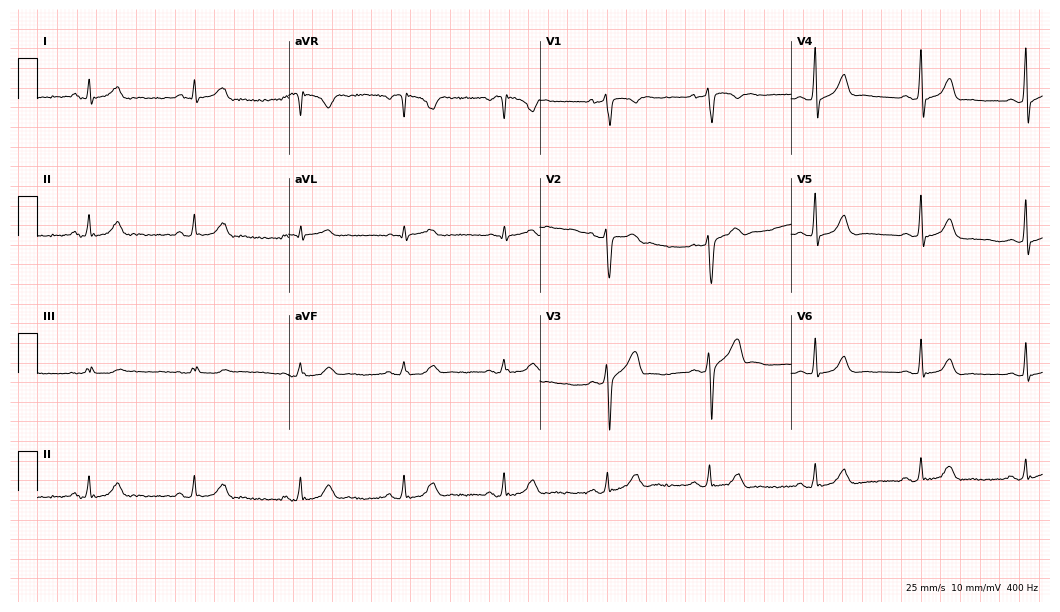
Resting 12-lead electrocardiogram (10.2-second recording at 400 Hz). Patient: a 51-year-old male. Read as a normal ECG.